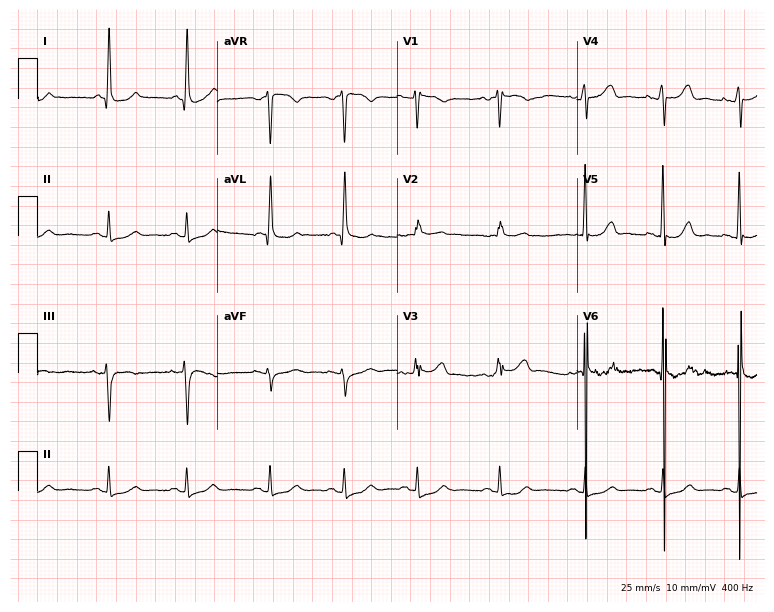
12-lead ECG from a 74-year-old female patient. Labelled as a normal ECG.